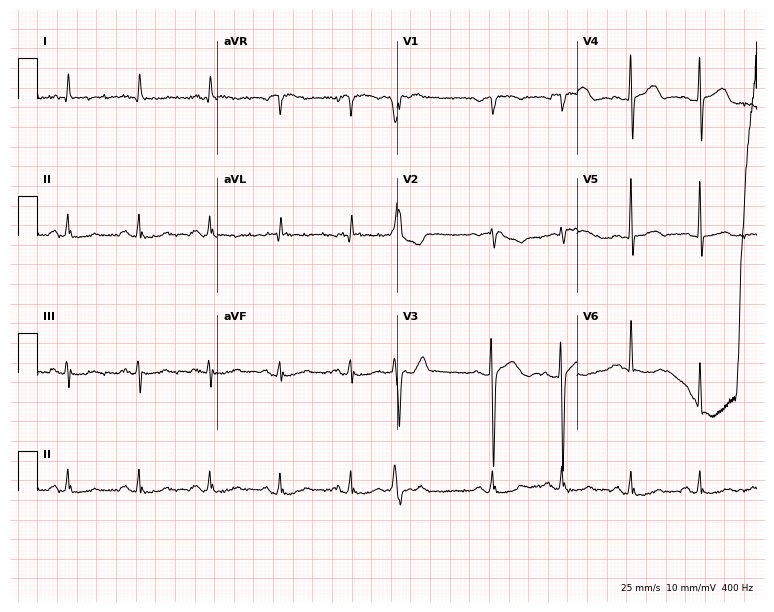
Electrocardiogram, a 79-year-old male patient. Of the six screened findings (first-degree AV block, right bundle branch block (RBBB), left bundle branch block (LBBB), sinus bradycardia, atrial fibrillation (AF), sinus tachycardia), none is recorded. Other findings, if any, are not listed.